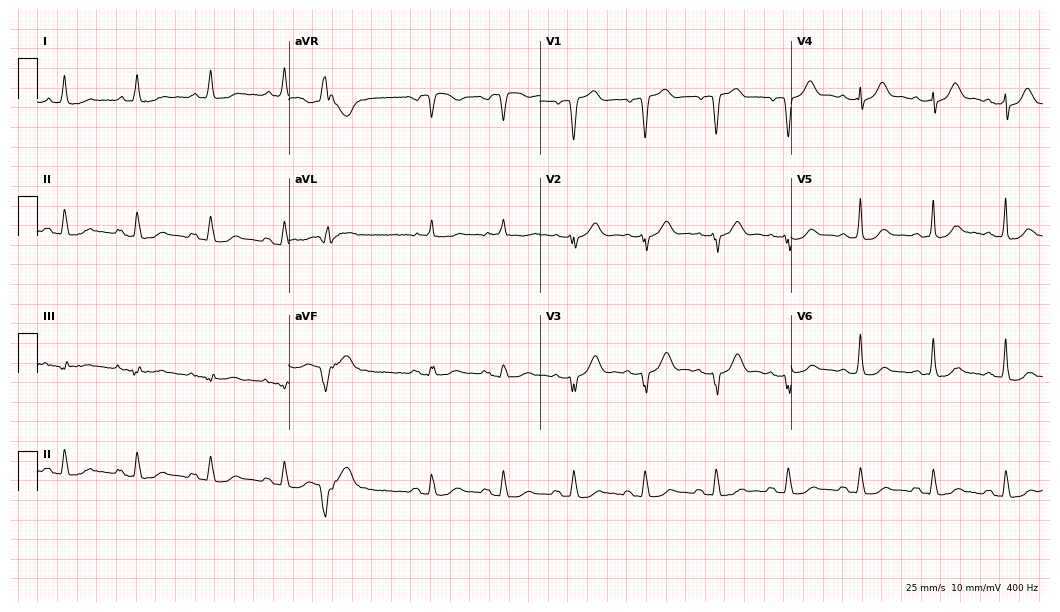
12-lead ECG from a male patient, 76 years old. No first-degree AV block, right bundle branch block, left bundle branch block, sinus bradycardia, atrial fibrillation or sinus tachycardia recorded for this tracing. Only these six findings were labelled.